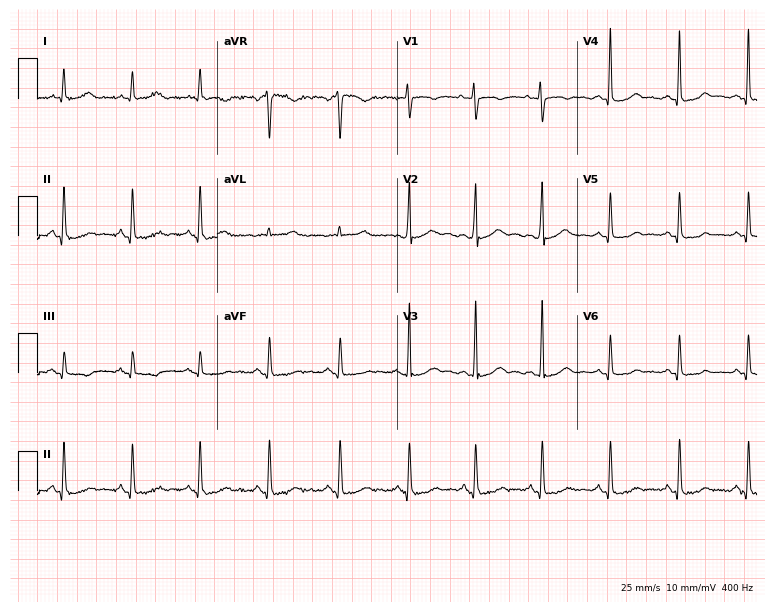
Resting 12-lead electrocardiogram. Patient: a woman, 33 years old. None of these six findings is recorded: first-degree AV block, right bundle branch block, left bundle branch block, sinus bradycardia, atrial fibrillation, sinus tachycardia.